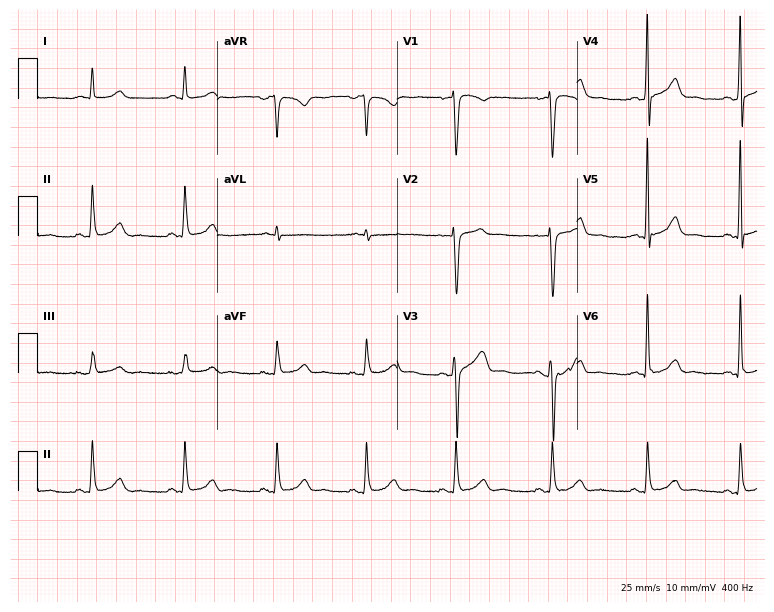
12-lead ECG from a male, 37 years old (7.3-second recording at 400 Hz). Recorded interpretation: within normal limits.